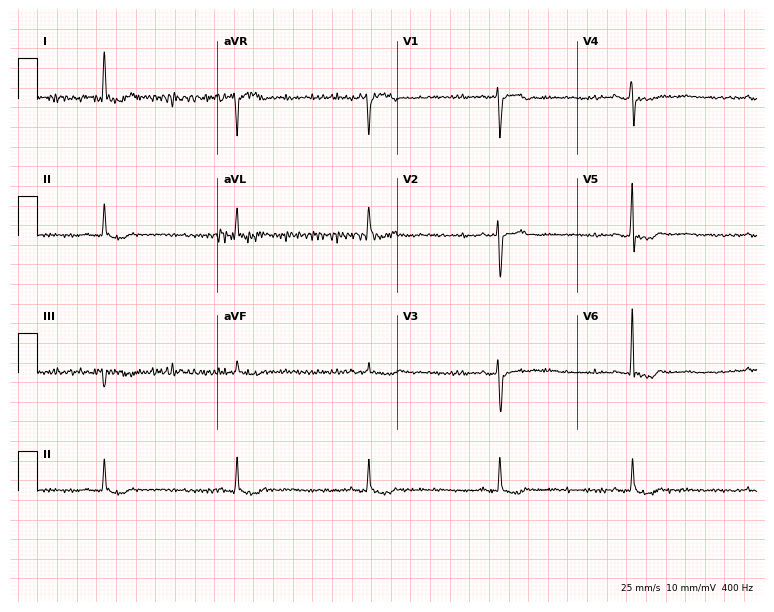
12-lead ECG from a 67-year-old female. No first-degree AV block, right bundle branch block (RBBB), left bundle branch block (LBBB), sinus bradycardia, atrial fibrillation (AF) or sinus tachycardia recorded for this tracing.